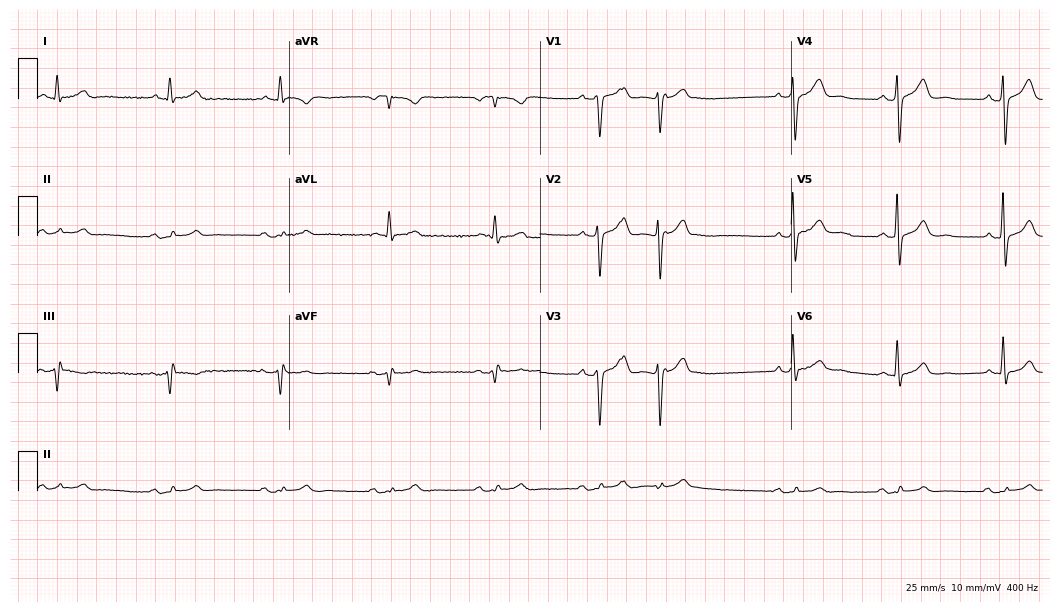
Resting 12-lead electrocardiogram. Patient: a 64-year-old man. Read as a normal ECG.